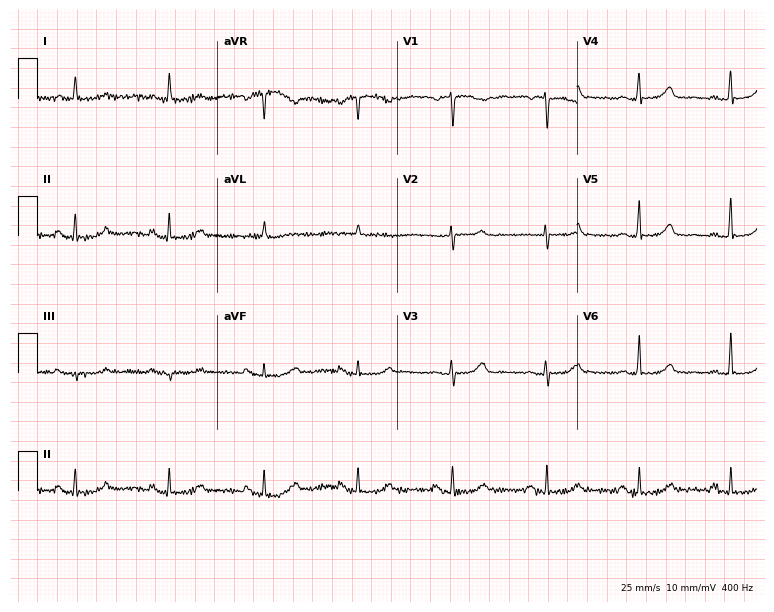
Standard 12-lead ECG recorded from a 72-year-old female. None of these six findings is recorded: first-degree AV block, right bundle branch block, left bundle branch block, sinus bradycardia, atrial fibrillation, sinus tachycardia.